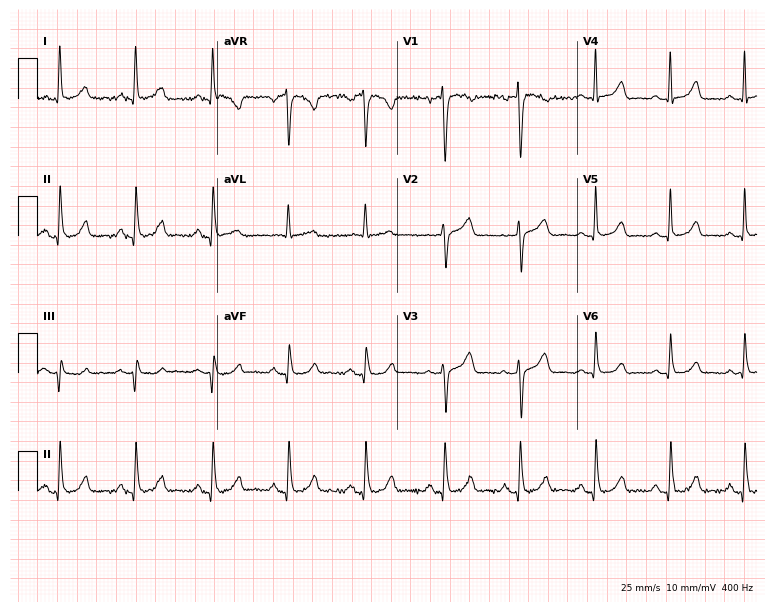
12-lead ECG from a 59-year-old female. Recorded interpretation: within normal limits.